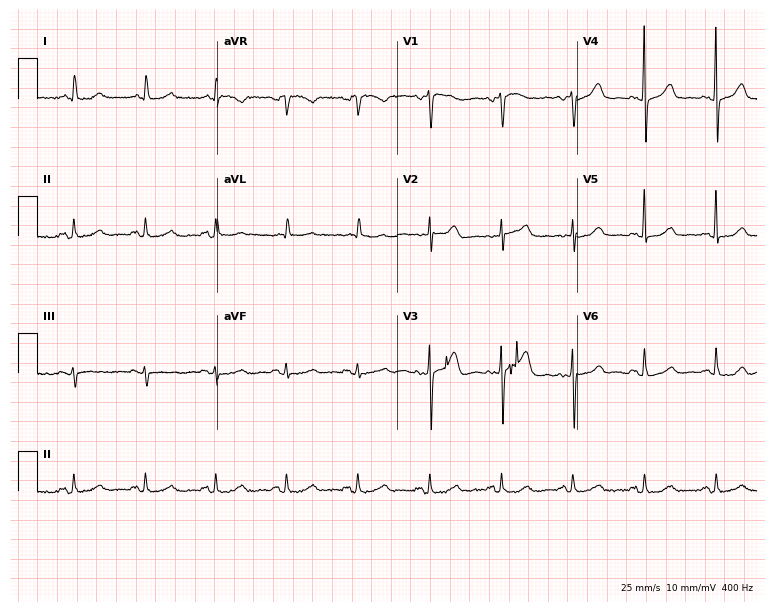
ECG — a 52-year-old woman. Labelled as a normal ECG.